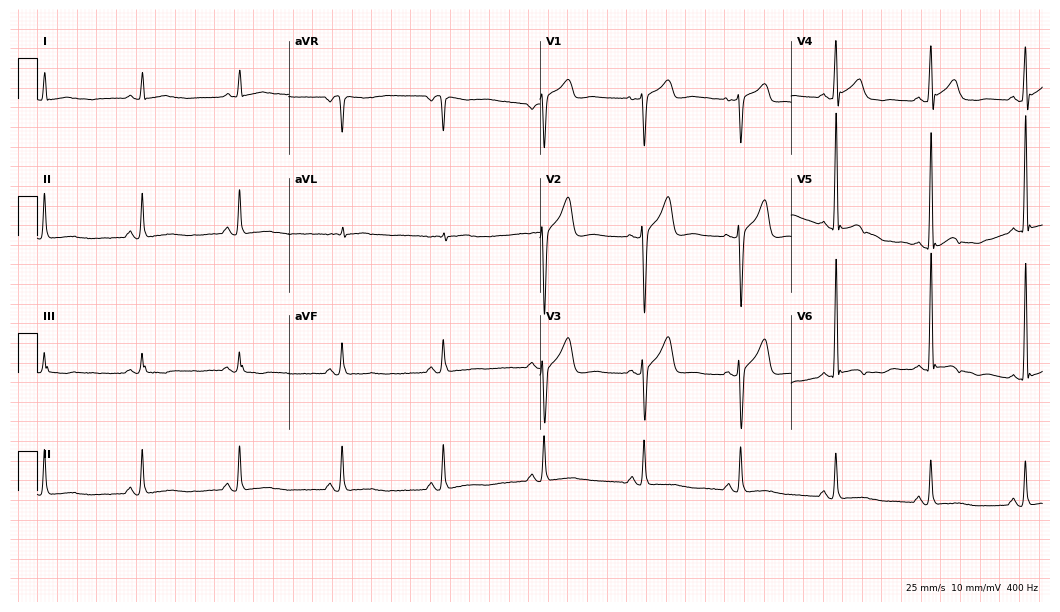
Standard 12-lead ECG recorded from a man, 57 years old. Read as a normal ECG.